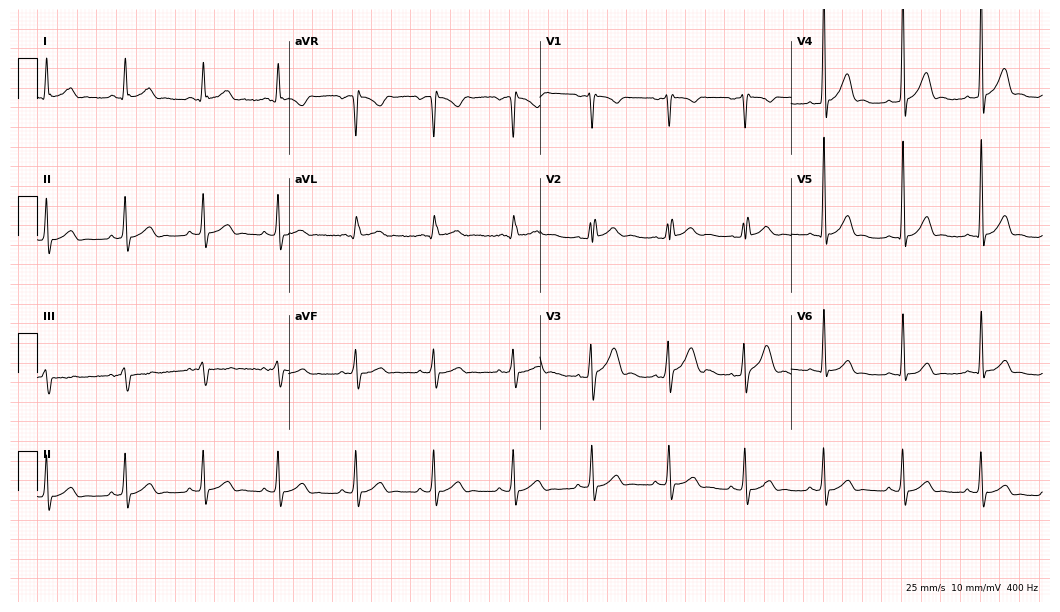
ECG — a male, 26 years old. Screened for six findings — first-degree AV block, right bundle branch block, left bundle branch block, sinus bradycardia, atrial fibrillation, sinus tachycardia — none is recorded.